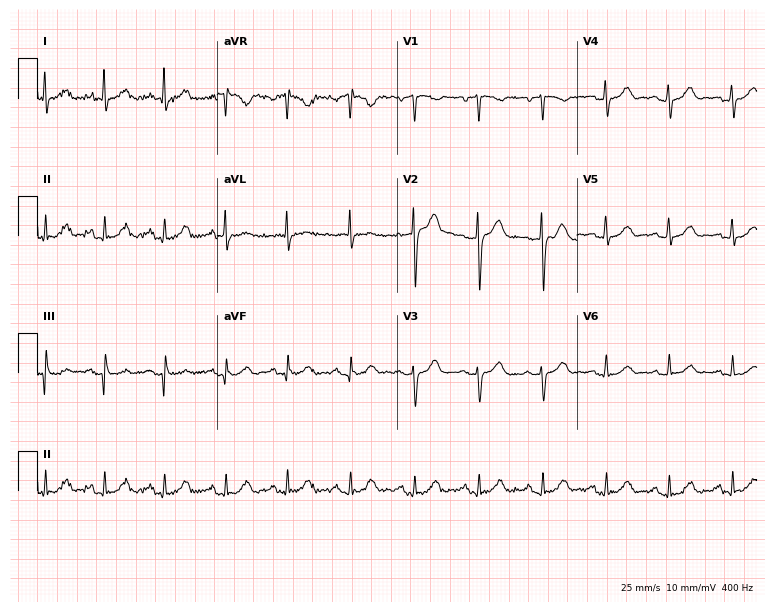
Standard 12-lead ECG recorded from a 58-year-old man (7.3-second recording at 400 Hz). Read as a normal ECG.